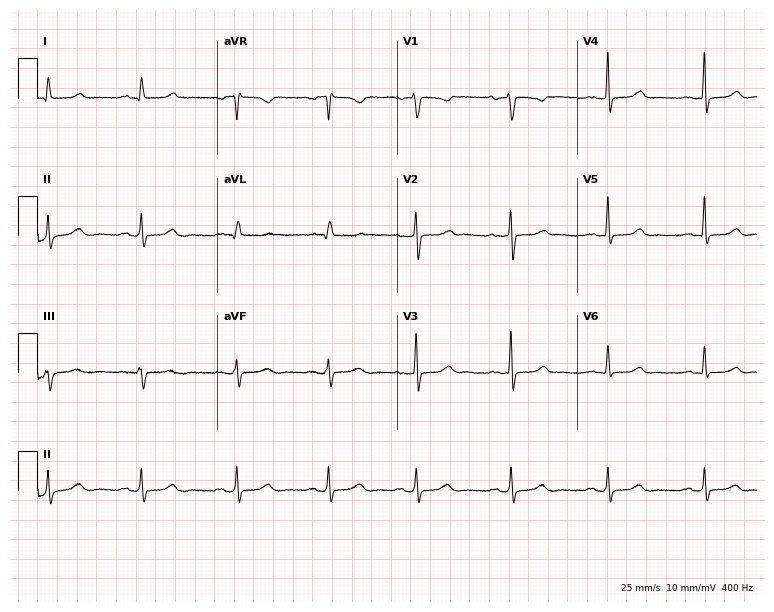
Electrocardiogram, a 42-year-old female patient. Overall reading on record: normal ECG.